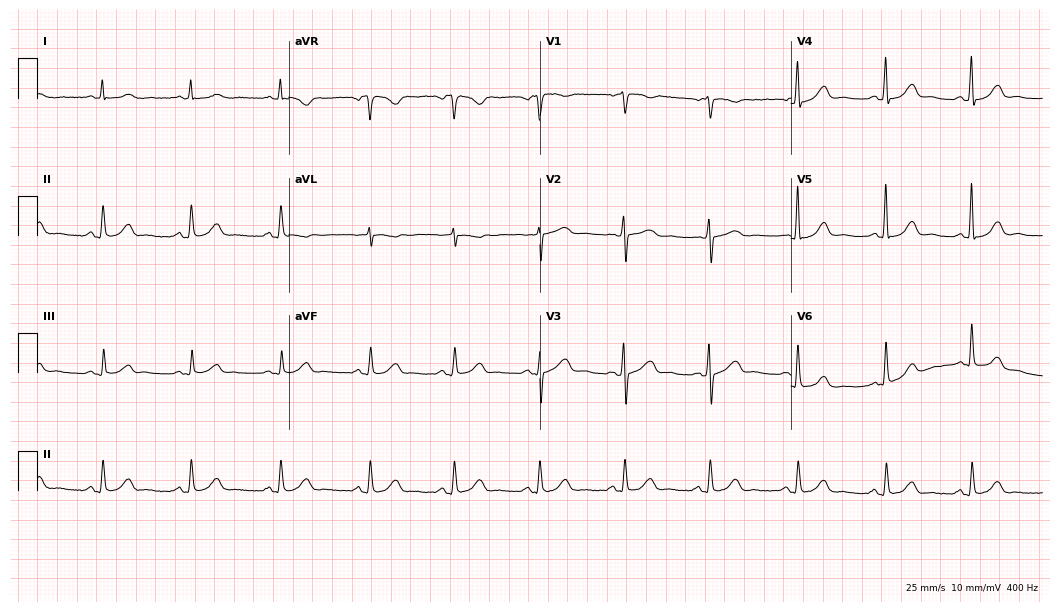
Standard 12-lead ECG recorded from a female, 54 years old. Read as a normal ECG.